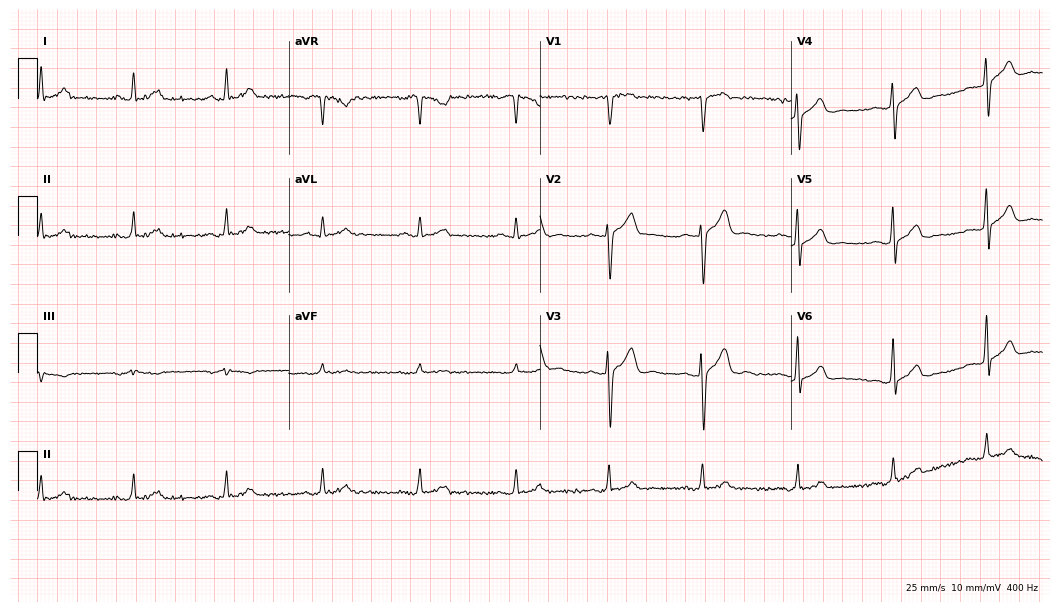
ECG (10.2-second recording at 400 Hz) — a 37-year-old man. Labelled as a normal ECG.